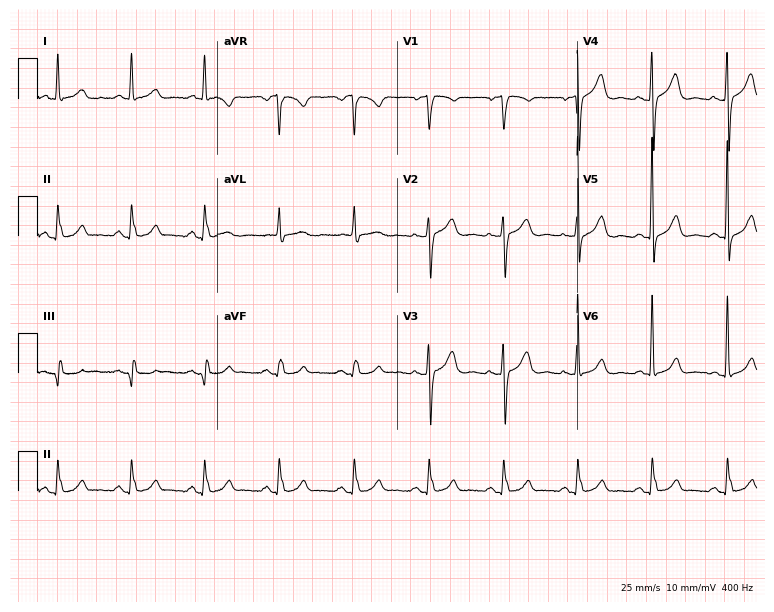
12-lead ECG from a female patient, 74 years old. Screened for six findings — first-degree AV block, right bundle branch block, left bundle branch block, sinus bradycardia, atrial fibrillation, sinus tachycardia — none is recorded. Only these six findings were labelled.